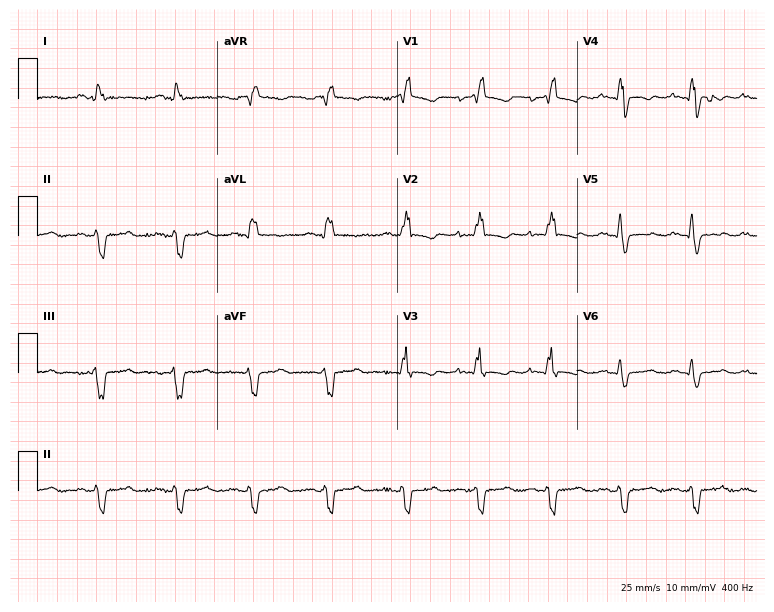
Electrocardiogram (7.3-second recording at 400 Hz), a woman, 55 years old. Interpretation includes right bundle branch block.